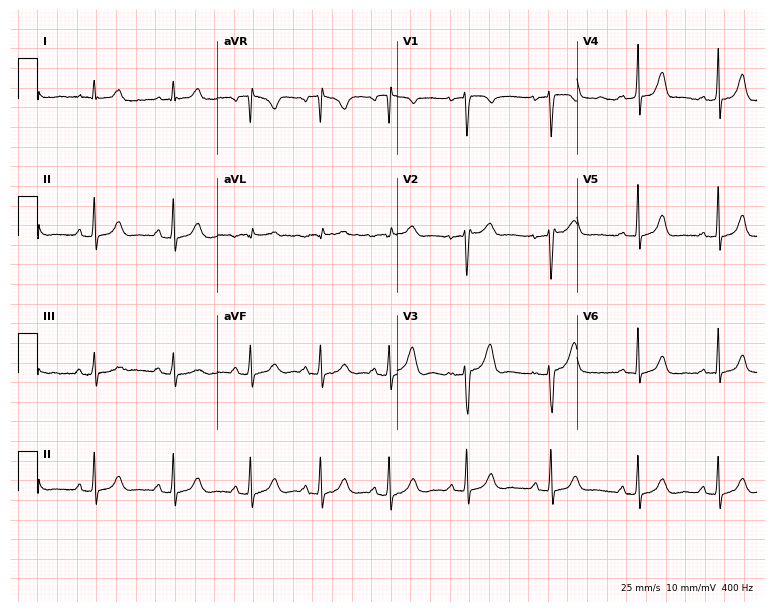
Electrocardiogram (7.3-second recording at 400 Hz), a 32-year-old man. Overall reading on record: normal ECG.